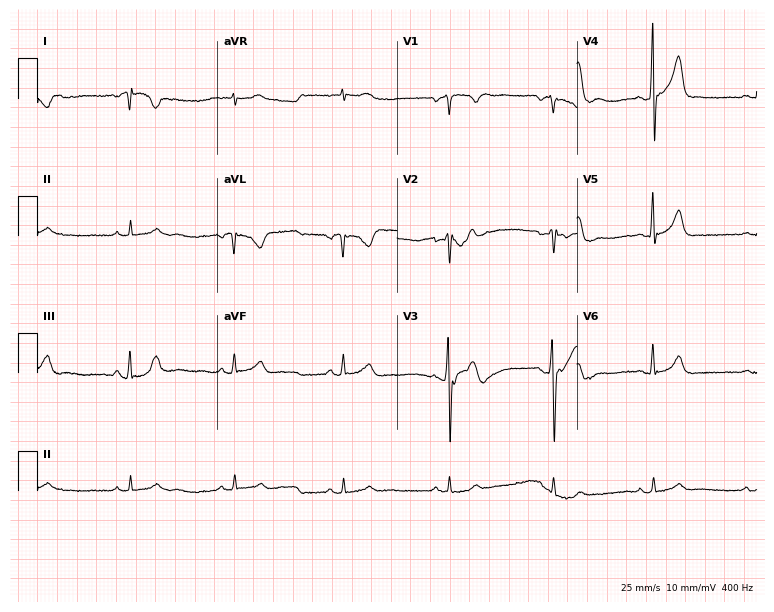
Resting 12-lead electrocardiogram. Patient: a male, 53 years old. None of these six findings is recorded: first-degree AV block, right bundle branch block, left bundle branch block, sinus bradycardia, atrial fibrillation, sinus tachycardia. Findings outside these six are not listed.